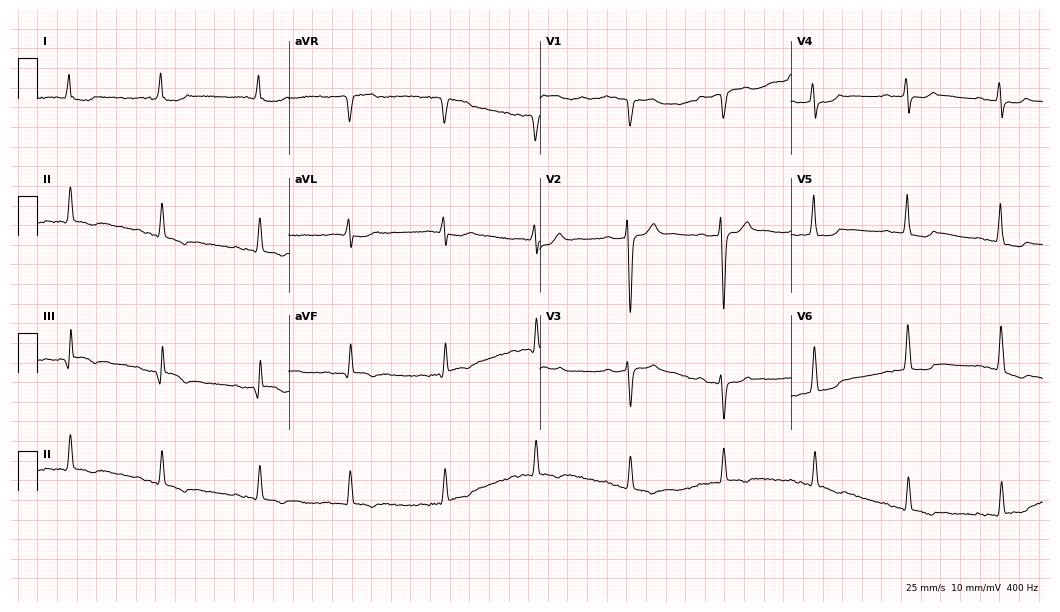
ECG (10.2-second recording at 400 Hz) — a 71-year-old male. Screened for six findings — first-degree AV block, right bundle branch block (RBBB), left bundle branch block (LBBB), sinus bradycardia, atrial fibrillation (AF), sinus tachycardia — none is recorded. Other findings, if any, are not listed.